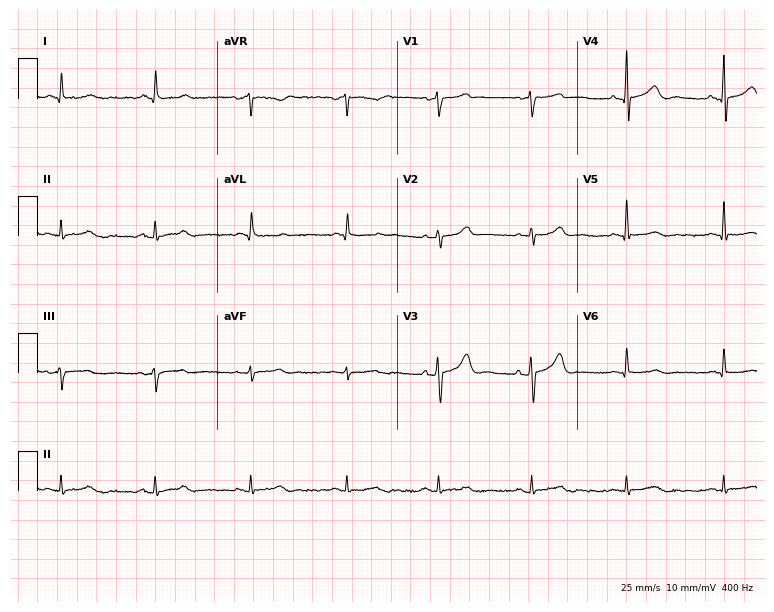
12-lead ECG (7.3-second recording at 400 Hz) from a man, 69 years old. Screened for six findings — first-degree AV block, right bundle branch block, left bundle branch block, sinus bradycardia, atrial fibrillation, sinus tachycardia — none is recorded.